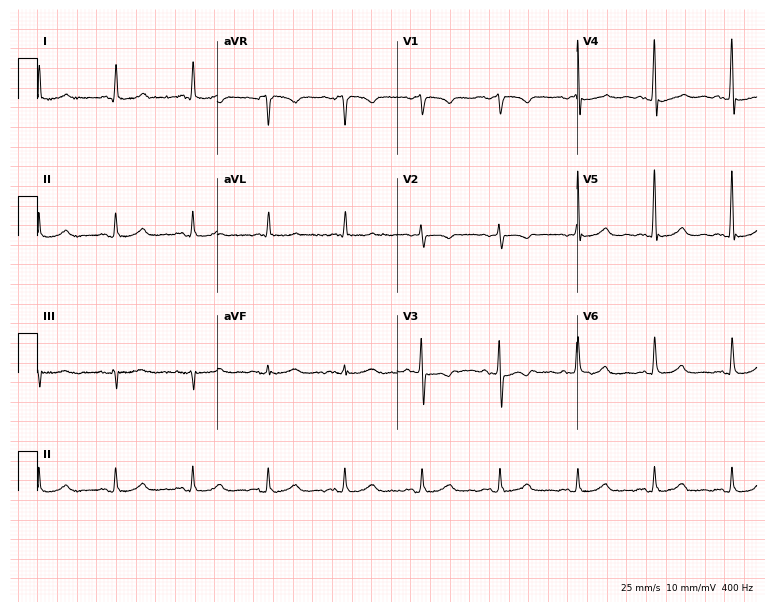
Standard 12-lead ECG recorded from a woman, 68 years old. None of these six findings is recorded: first-degree AV block, right bundle branch block, left bundle branch block, sinus bradycardia, atrial fibrillation, sinus tachycardia.